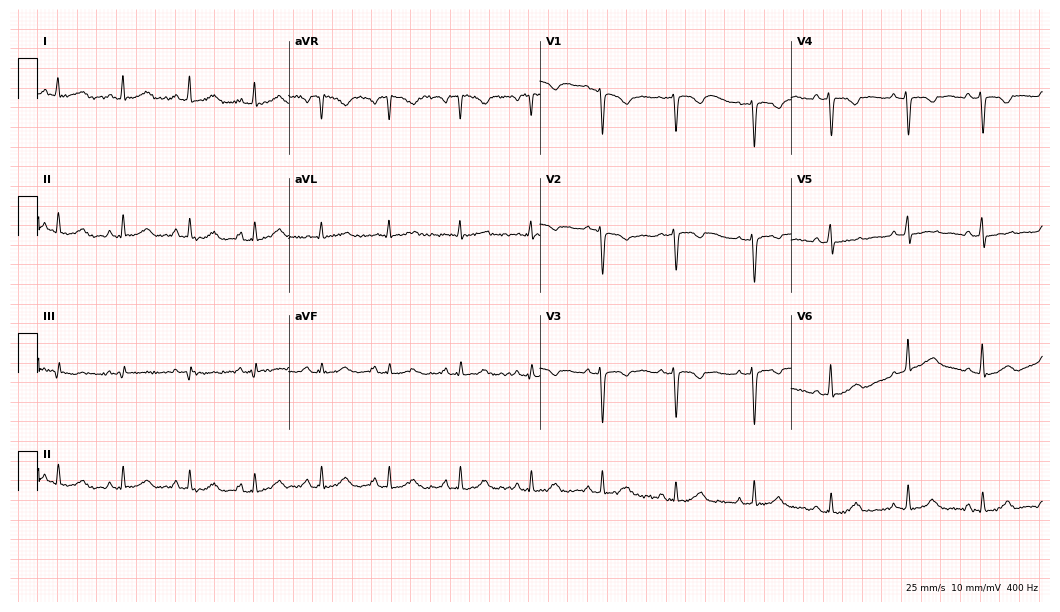
ECG (10.2-second recording at 400 Hz) — a woman, 41 years old. Screened for six findings — first-degree AV block, right bundle branch block (RBBB), left bundle branch block (LBBB), sinus bradycardia, atrial fibrillation (AF), sinus tachycardia — none is recorded.